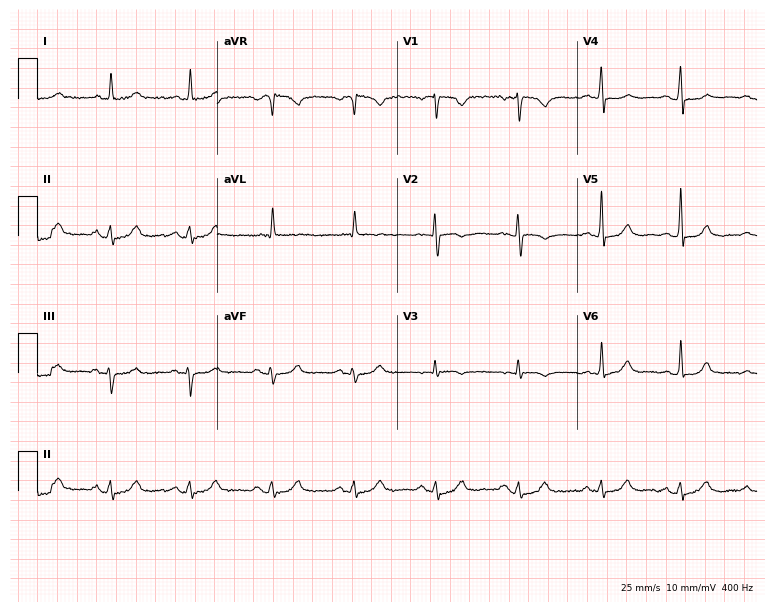
ECG (7.3-second recording at 400 Hz) — a 53-year-old male patient. Screened for six findings — first-degree AV block, right bundle branch block, left bundle branch block, sinus bradycardia, atrial fibrillation, sinus tachycardia — none is recorded.